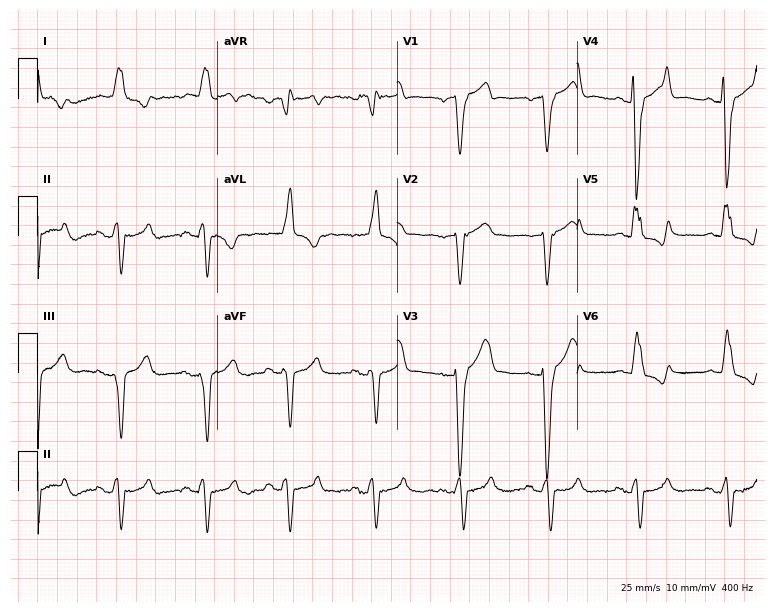
Electrocardiogram, a female, 79 years old. Of the six screened findings (first-degree AV block, right bundle branch block, left bundle branch block, sinus bradycardia, atrial fibrillation, sinus tachycardia), none is recorded. Only these six findings were labelled.